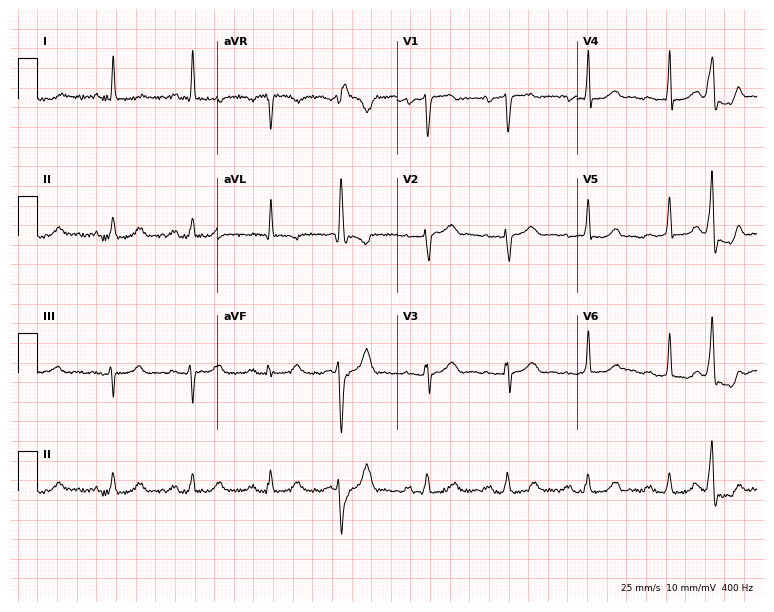
ECG — a 67-year-old female patient. Screened for six findings — first-degree AV block, right bundle branch block, left bundle branch block, sinus bradycardia, atrial fibrillation, sinus tachycardia — none is recorded.